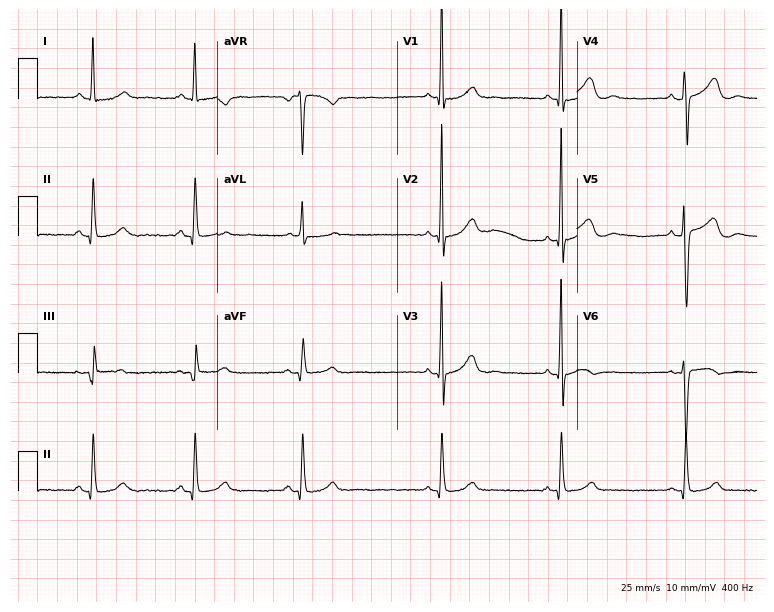
Resting 12-lead electrocardiogram. Patient: a female, 39 years old. None of these six findings is recorded: first-degree AV block, right bundle branch block, left bundle branch block, sinus bradycardia, atrial fibrillation, sinus tachycardia. Findings outside these six are not listed.